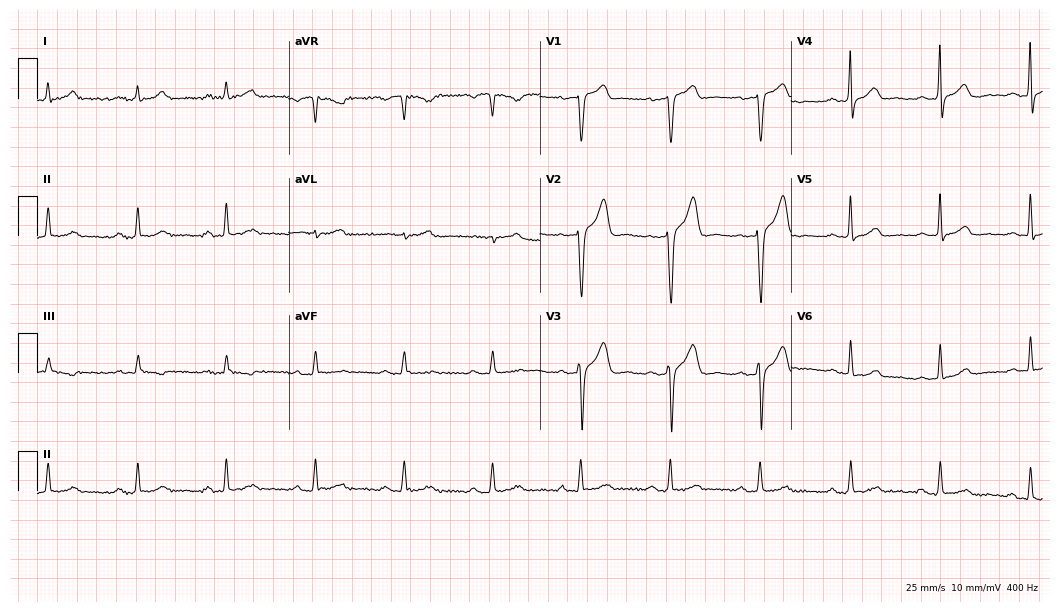
12-lead ECG from a 44-year-old male (10.2-second recording at 400 Hz). No first-degree AV block, right bundle branch block, left bundle branch block, sinus bradycardia, atrial fibrillation or sinus tachycardia recorded for this tracing.